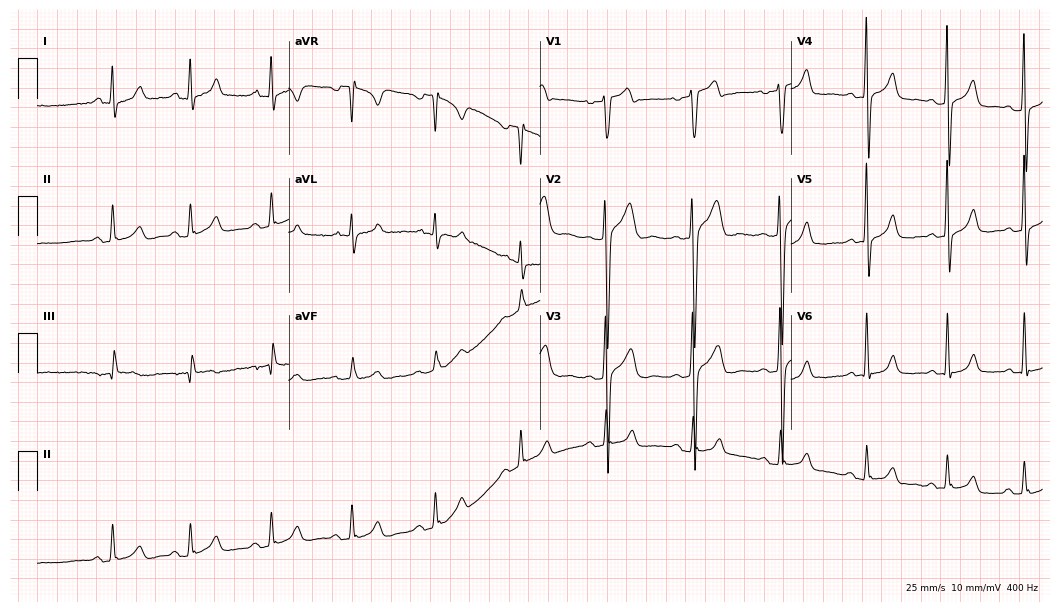
Resting 12-lead electrocardiogram (10.2-second recording at 400 Hz). Patient: a 40-year-old male. None of these six findings is recorded: first-degree AV block, right bundle branch block (RBBB), left bundle branch block (LBBB), sinus bradycardia, atrial fibrillation (AF), sinus tachycardia.